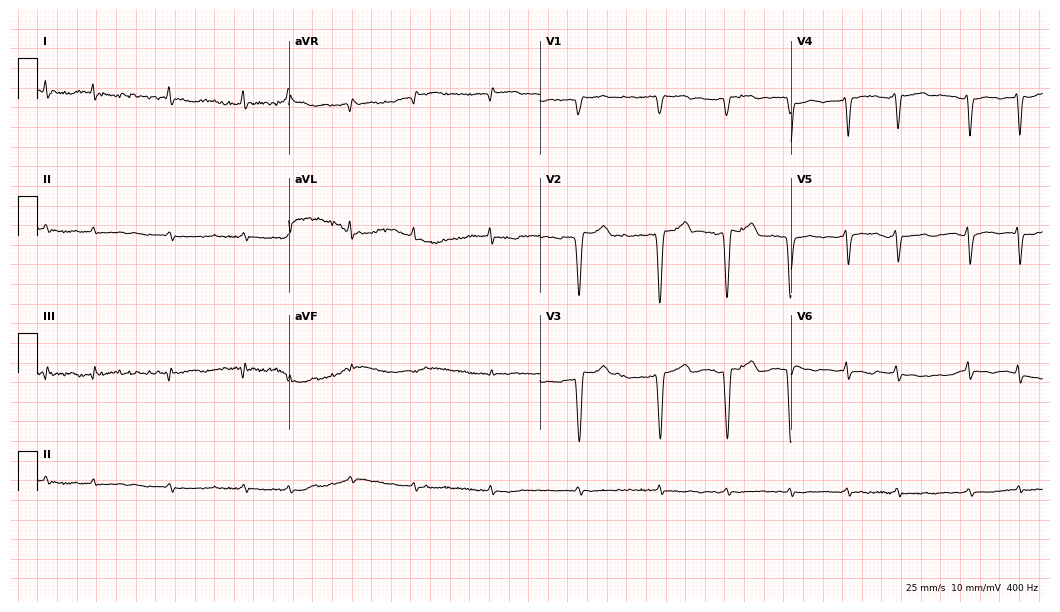
12-lead ECG from an 80-year-old male. Shows atrial fibrillation.